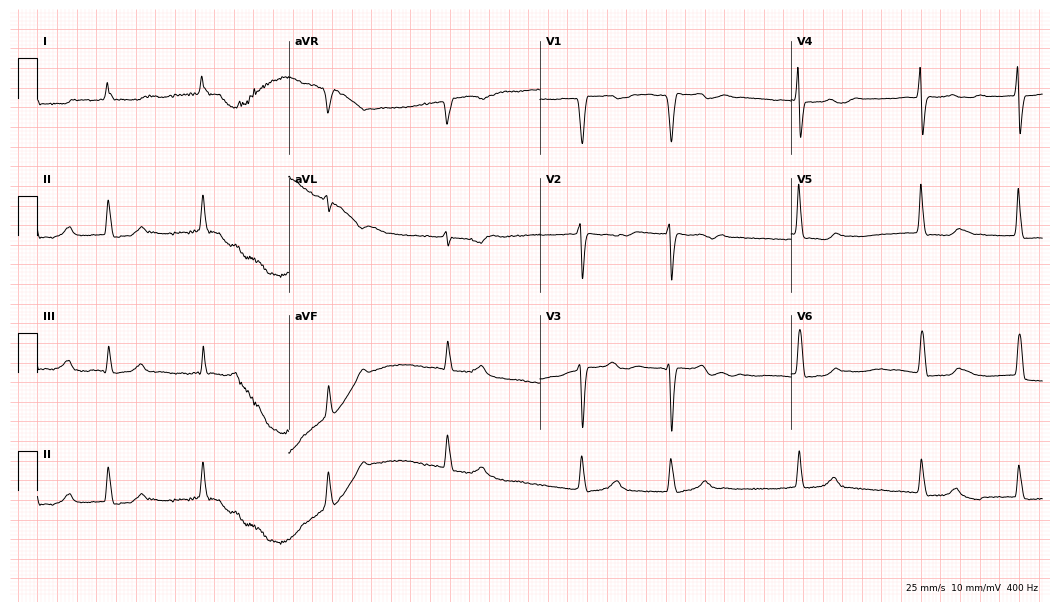
12-lead ECG from a 73-year-old woman. Findings include atrial fibrillation.